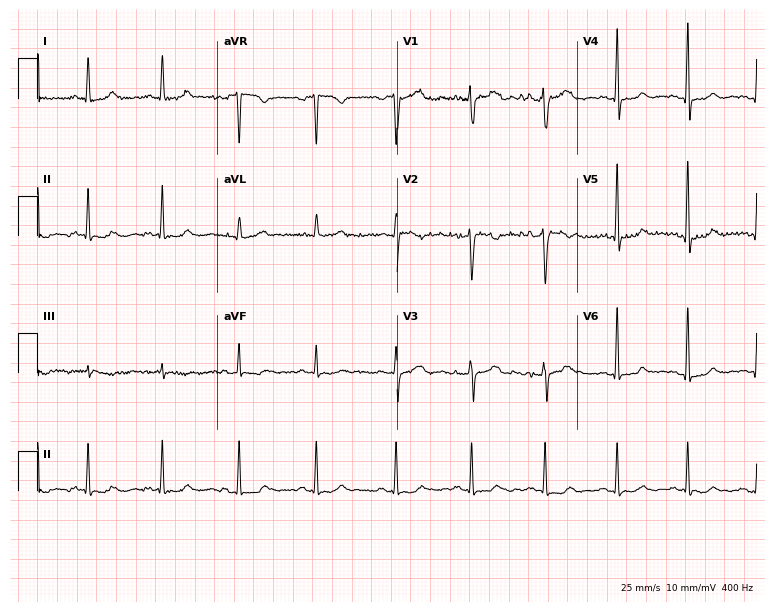
Standard 12-lead ECG recorded from a female, 34 years old (7.3-second recording at 400 Hz). Read as a normal ECG.